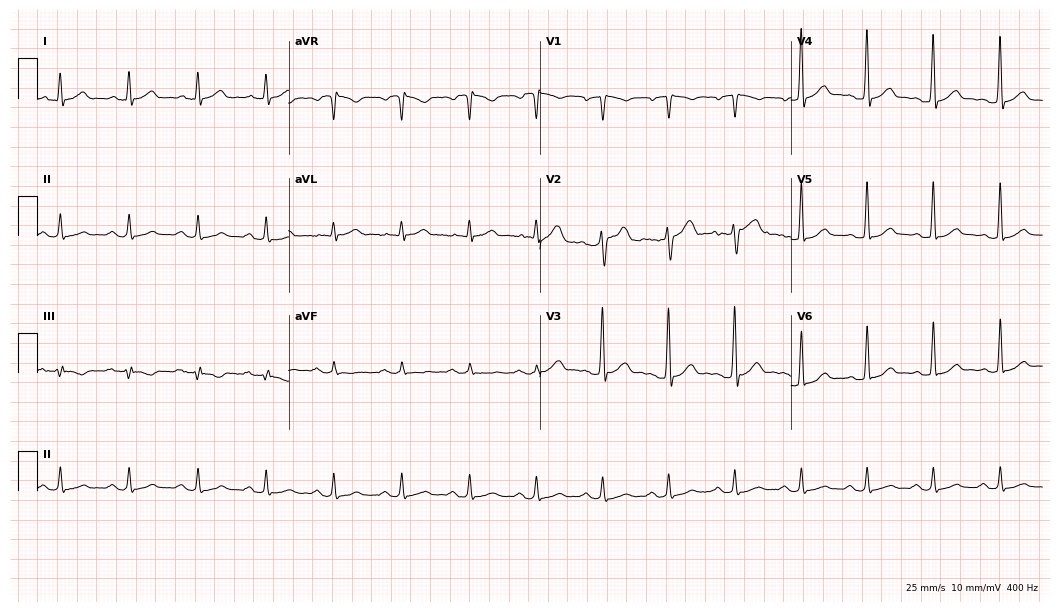
Electrocardiogram, a man, 45 years old. Overall reading on record: normal ECG.